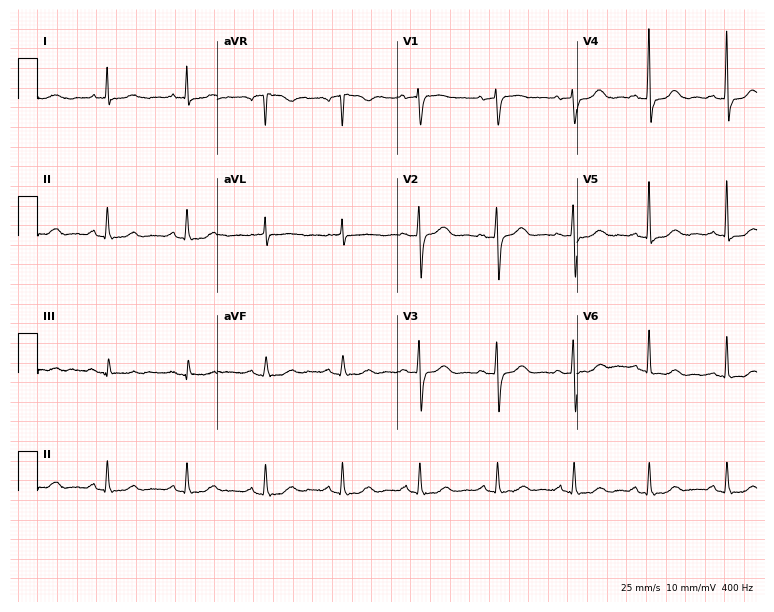
ECG (7.3-second recording at 400 Hz) — a female, 73 years old. Labelled as a normal ECG.